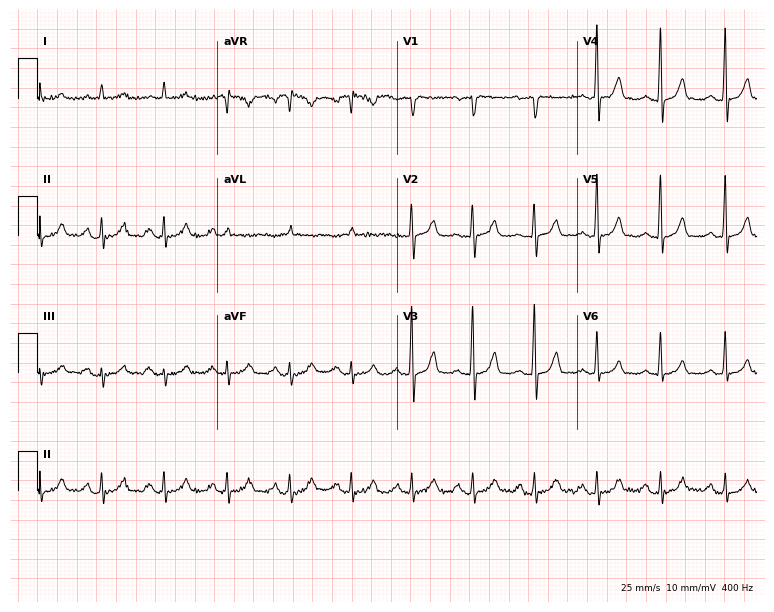
12-lead ECG from a 54-year-old man. No first-degree AV block, right bundle branch block, left bundle branch block, sinus bradycardia, atrial fibrillation or sinus tachycardia recorded for this tracing. Only these six findings were labelled.